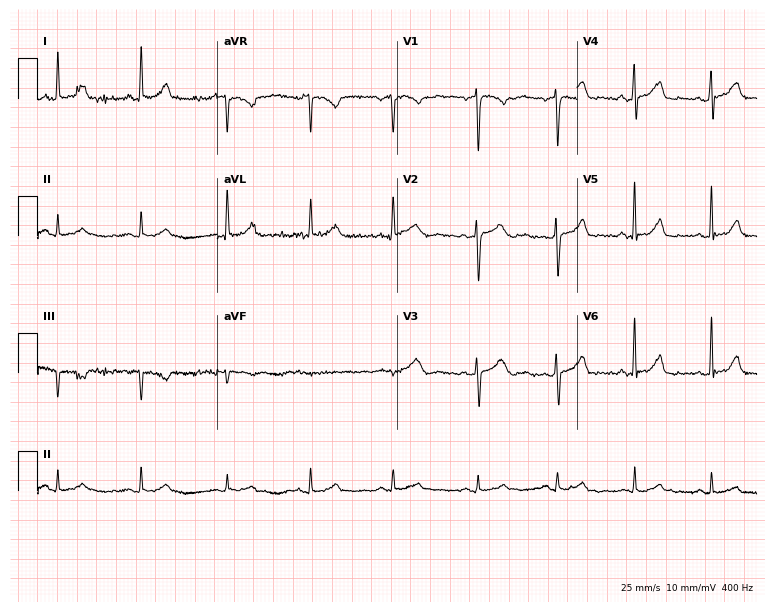
Resting 12-lead electrocardiogram (7.3-second recording at 400 Hz). Patient: a woman, 43 years old. None of these six findings is recorded: first-degree AV block, right bundle branch block, left bundle branch block, sinus bradycardia, atrial fibrillation, sinus tachycardia.